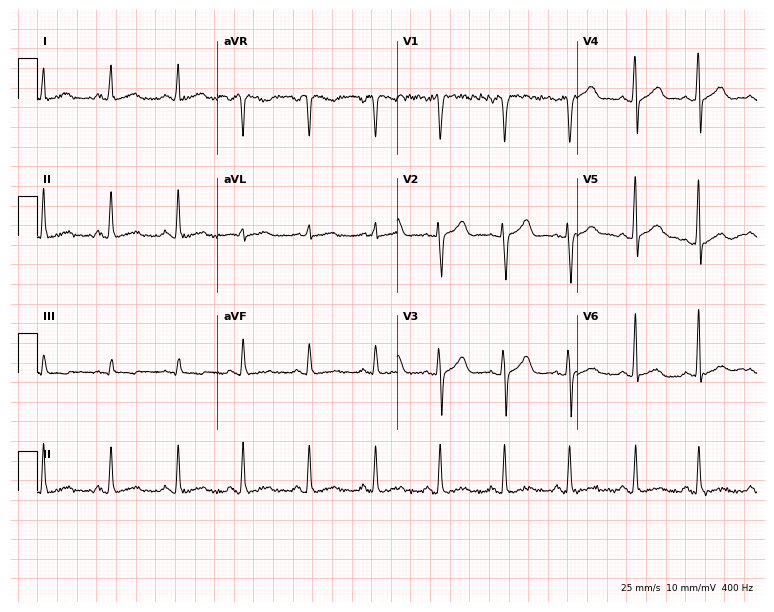
12-lead ECG from a male patient, 36 years old. Screened for six findings — first-degree AV block, right bundle branch block, left bundle branch block, sinus bradycardia, atrial fibrillation, sinus tachycardia — none is recorded.